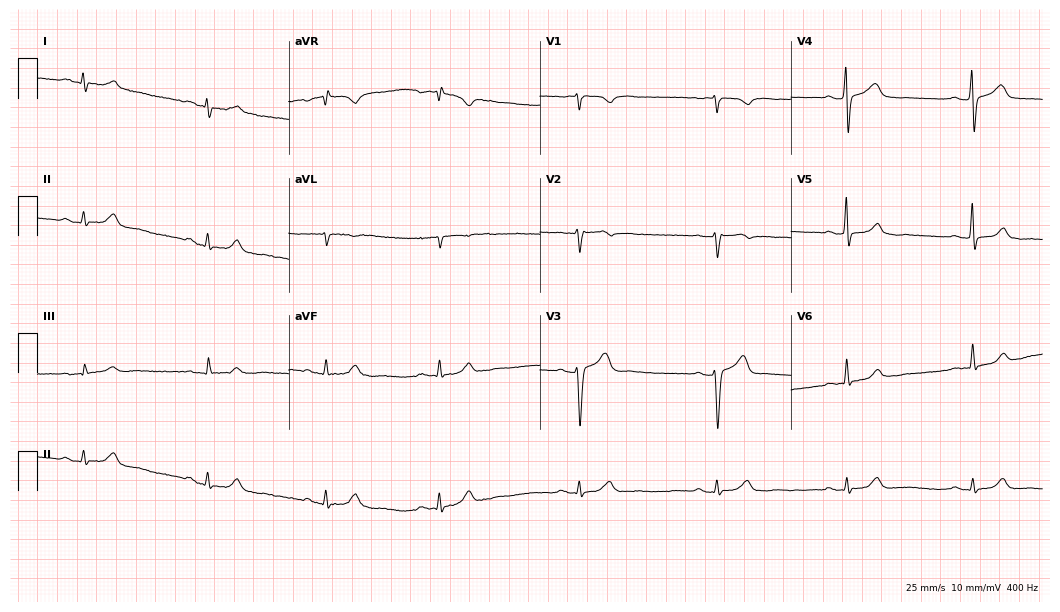
12-lead ECG from a male, 41 years old. Findings include sinus bradycardia (a sinus rate of 50 beats per minute or less).